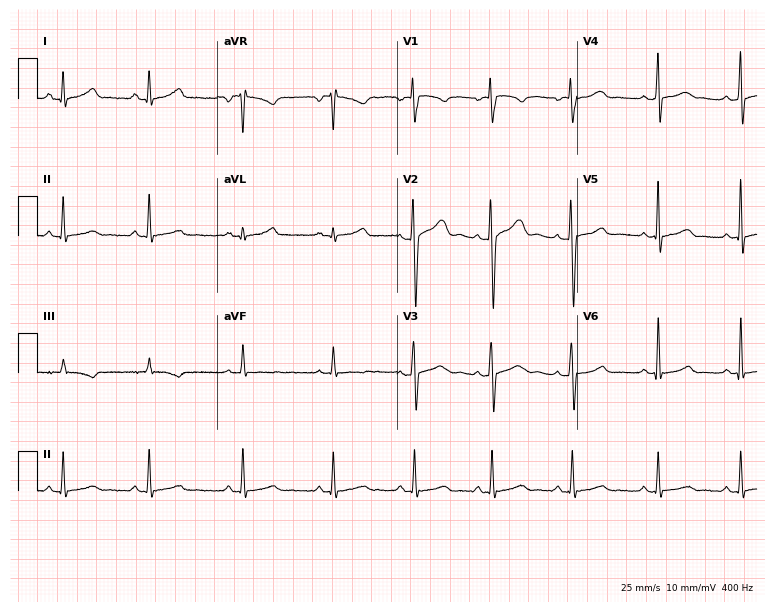
12-lead ECG from a 31-year-old female. Screened for six findings — first-degree AV block, right bundle branch block (RBBB), left bundle branch block (LBBB), sinus bradycardia, atrial fibrillation (AF), sinus tachycardia — none is recorded. Other findings, if any, are not listed.